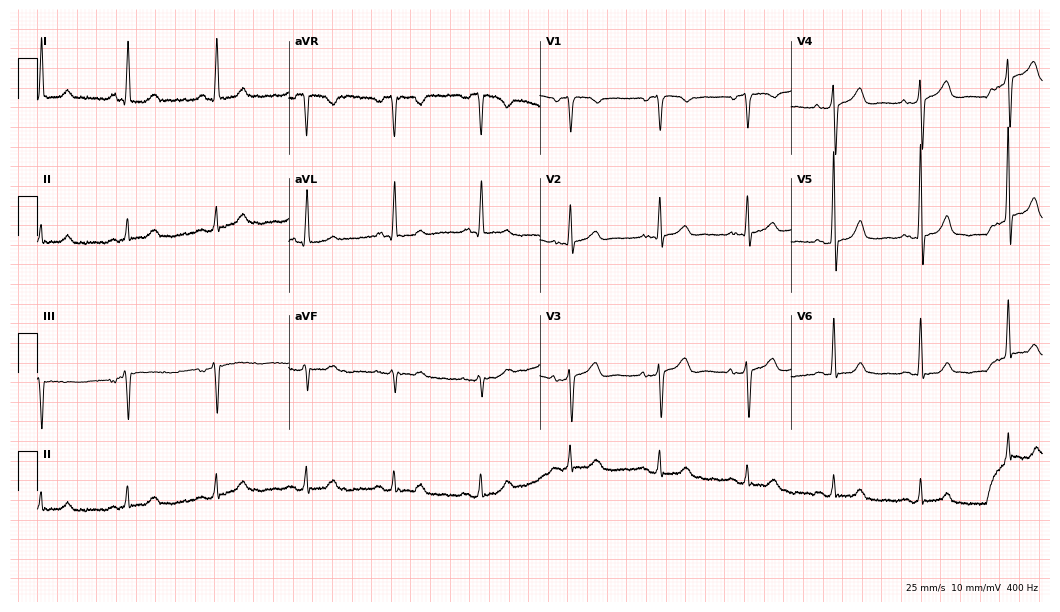
12-lead ECG (10.2-second recording at 400 Hz) from a female, 75 years old. Screened for six findings — first-degree AV block, right bundle branch block, left bundle branch block, sinus bradycardia, atrial fibrillation, sinus tachycardia — none is recorded.